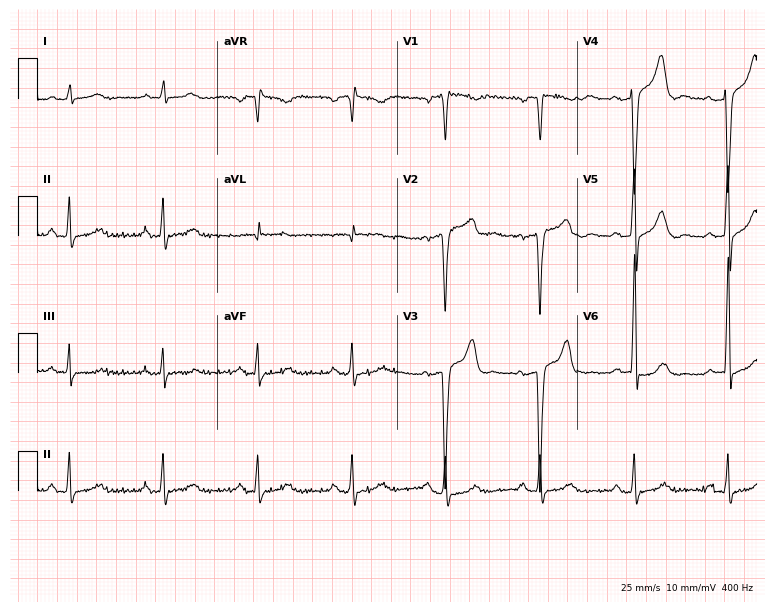
12-lead ECG from a 59-year-old man. Screened for six findings — first-degree AV block, right bundle branch block, left bundle branch block, sinus bradycardia, atrial fibrillation, sinus tachycardia — none is recorded.